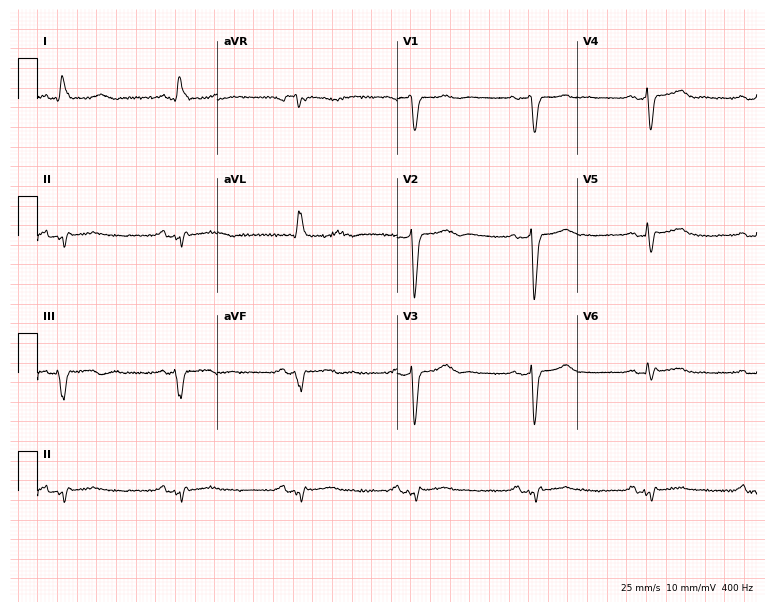
12-lead ECG from a 58-year-old female patient (7.3-second recording at 400 Hz). No first-degree AV block, right bundle branch block (RBBB), left bundle branch block (LBBB), sinus bradycardia, atrial fibrillation (AF) or sinus tachycardia recorded for this tracing.